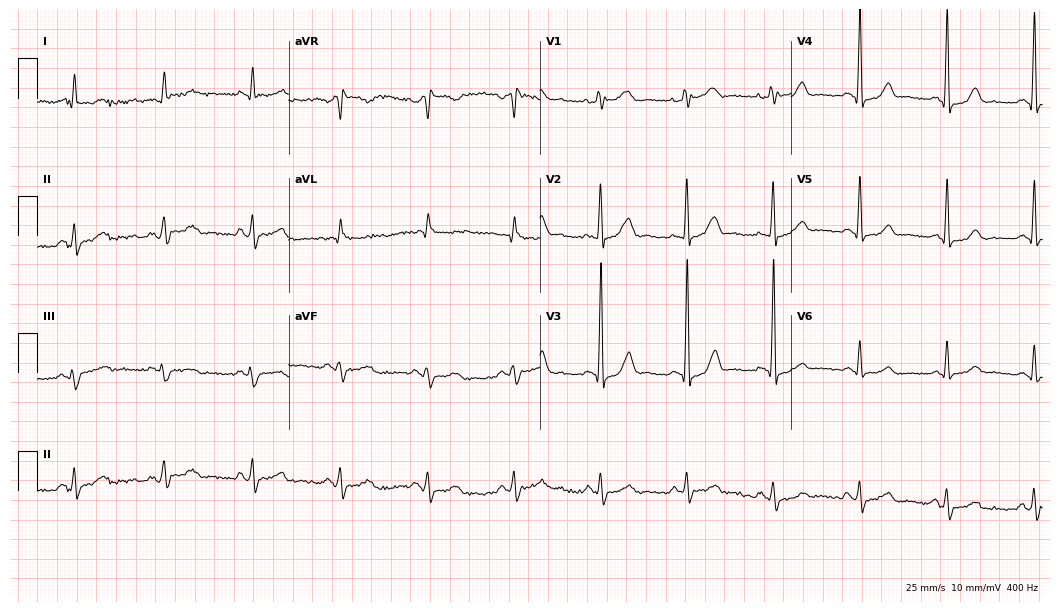
ECG — a male, 65 years old. Screened for six findings — first-degree AV block, right bundle branch block, left bundle branch block, sinus bradycardia, atrial fibrillation, sinus tachycardia — none is recorded. Findings outside these six are not listed.